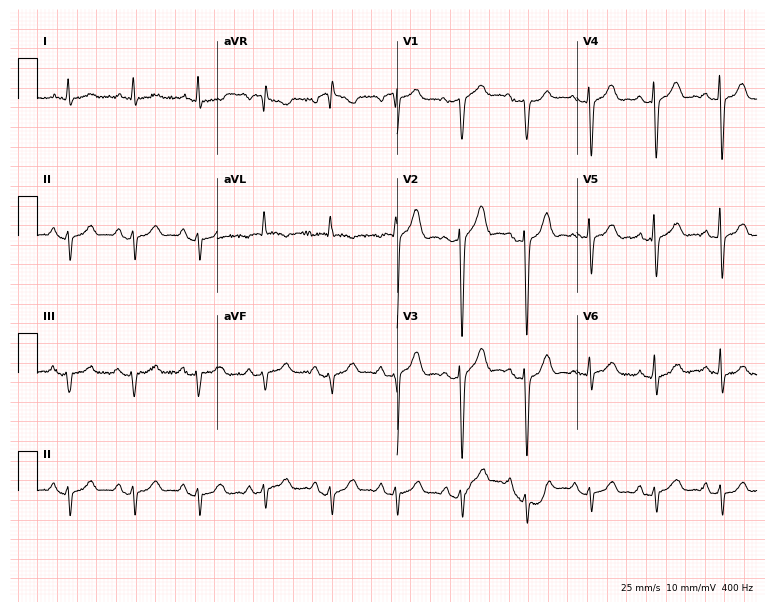
12-lead ECG from a male, 71 years old (7.3-second recording at 400 Hz). No first-degree AV block, right bundle branch block, left bundle branch block, sinus bradycardia, atrial fibrillation or sinus tachycardia recorded for this tracing.